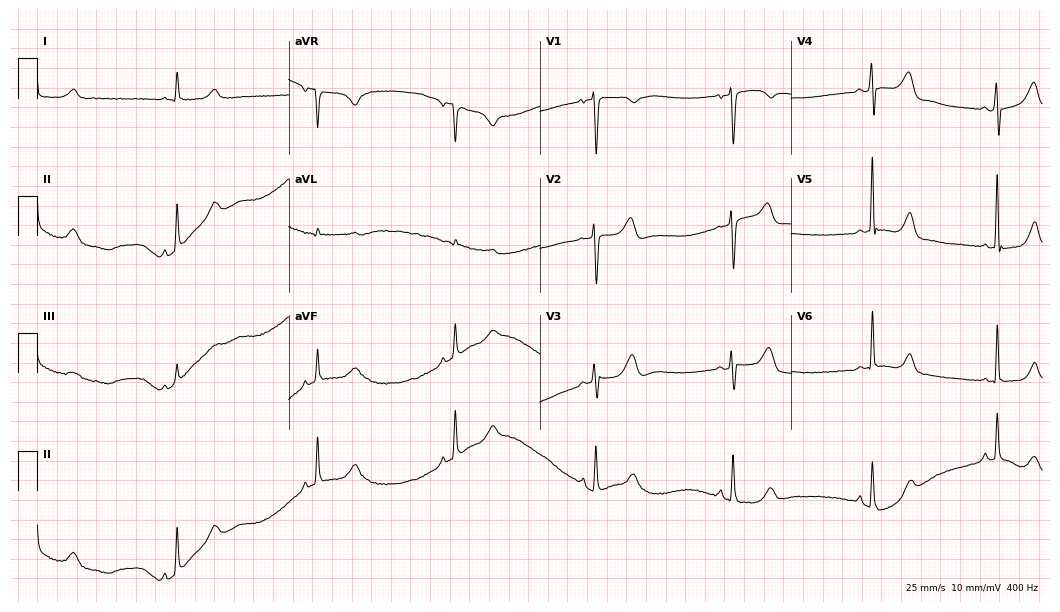
Standard 12-lead ECG recorded from a 55-year-old woman. The tracing shows sinus bradycardia (a sinus rate of 50 beats per minute or less).